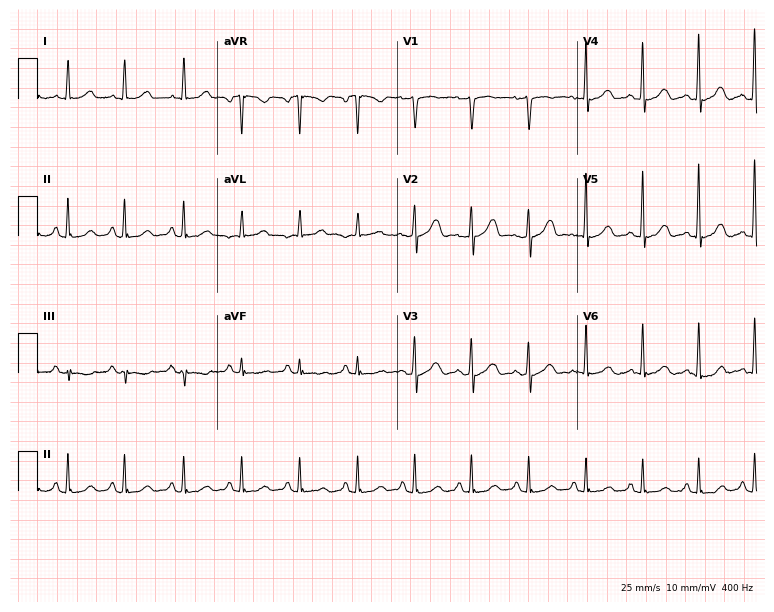
12-lead ECG from a 47-year-old female patient (7.3-second recording at 400 Hz). Shows sinus tachycardia (a sinus rate of 100 beats per minute or more).